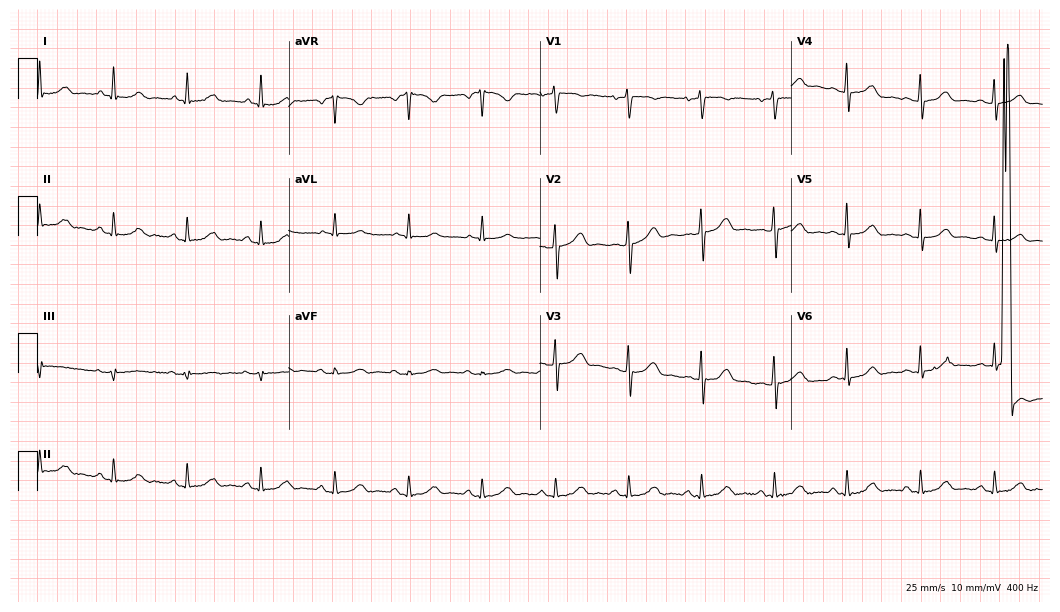
ECG (10.2-second recording at 400 Hz) — a female patient, 64 years old. Labelled as a normal ECG.